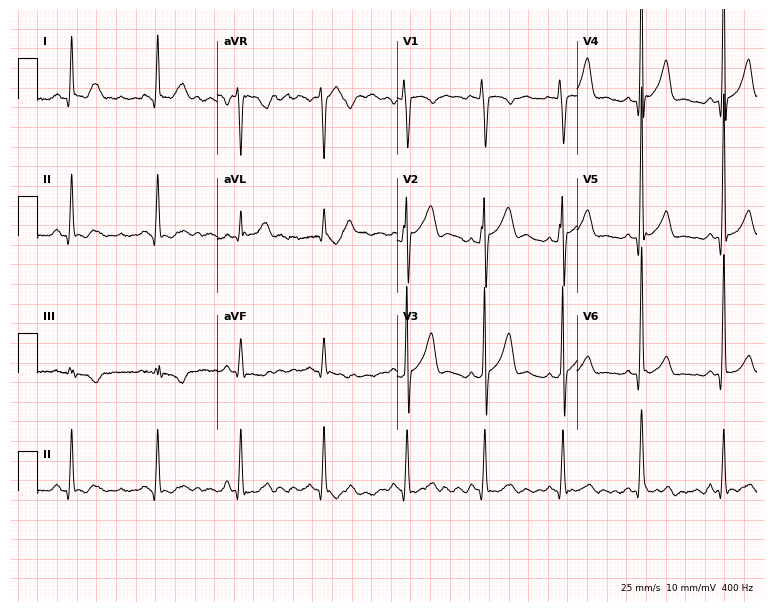
12-lead ECG (7.3-second recording at 400 Hz) from a 40-year-old male patient. Screened for six findings — first-degree AV block, right bundle branch block (RBBB), left bundle branch block (LBBB), sinus bradycardia, atrial fibrillation (AF), sinus tachycardia — none is recorded.